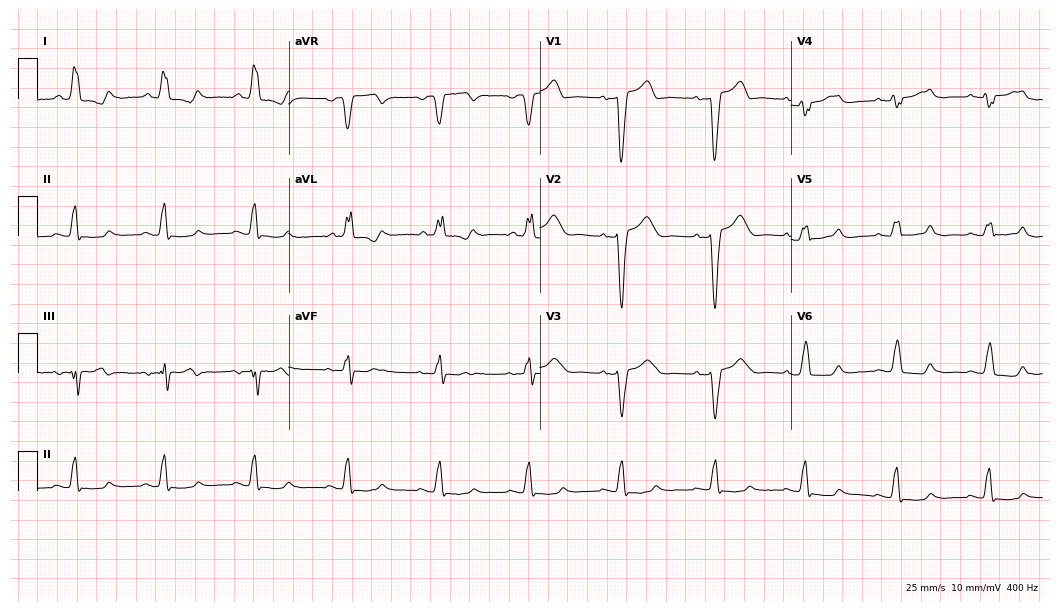
Electrocardiogram (10.2-second recording at 400 Hz), a 69-year-old female patient. Interpretation includes left bundle branch block (LBBB).